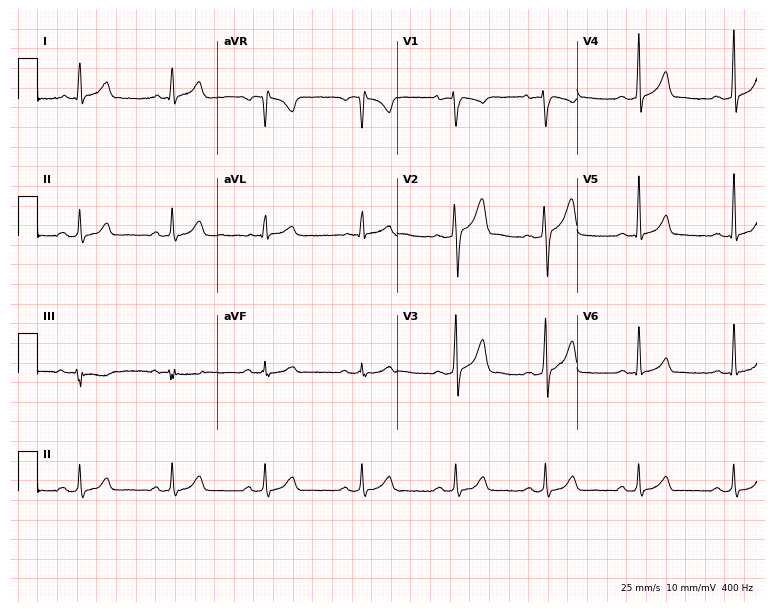
12-lead ECG from a 34-year-old male patient (7.3-second recording at 400 Hz). Recorded interpretation: within normal limits.